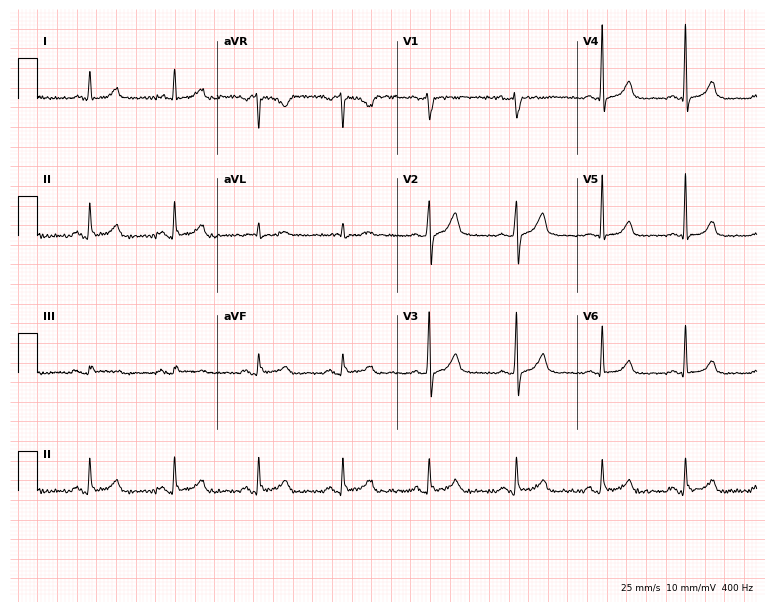
Electrocardiogram (7.3-second recording at 400 Hz), a 61-year-old male patient. Overall reading on record: normal ECG.